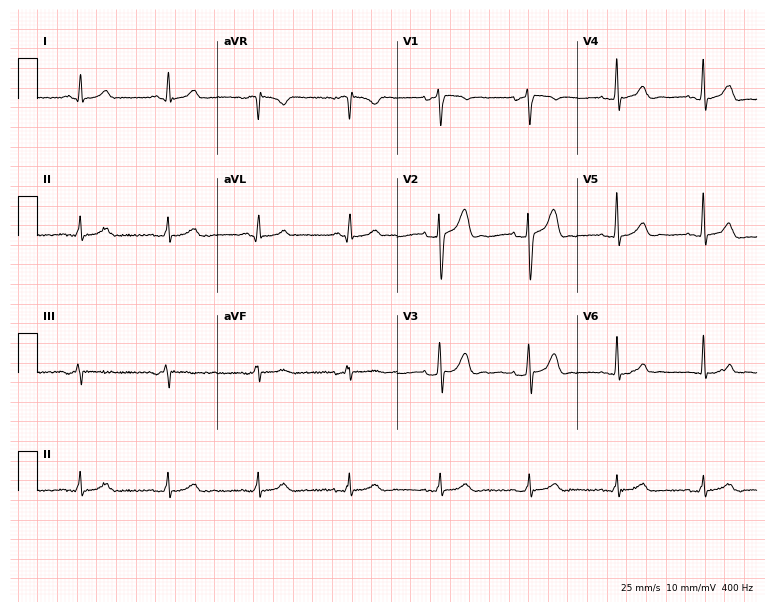
Electrocardiogram (7.3-second recording at 400 Hz), a 47-year-old male patient. Overall reading on record: normal ECG.